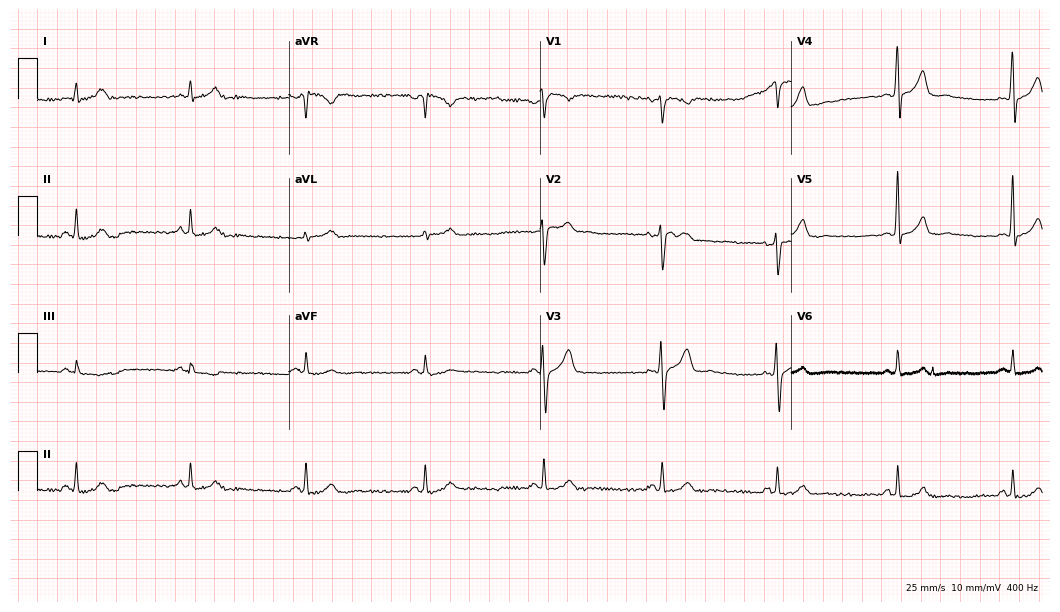
12-lead ECG from a man, 26 years old (10.2-second recording at 400 Hz). No first-degree AV block, right bundle branch block, left bundle branch block, sinus bradycardia, atrial fibrillation or sinus tachycardia recorded for this tracing.